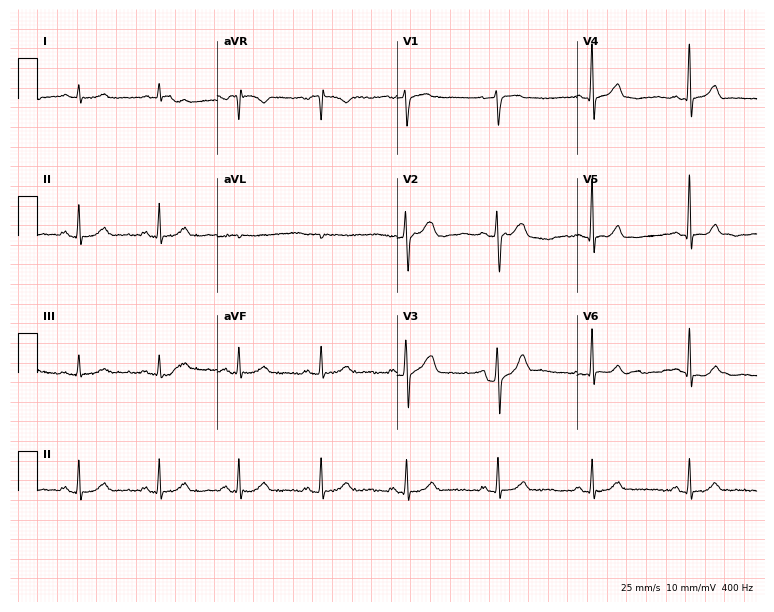
Electrocardiogram (7.3-second recording at 400 Hz), a 59-year-old male. Of the six screened findings (first-degree AV block, right bundle branch block (RBBB), left bundle branch block (LBBB), sinus bradycardia, atrial fibrillation (AF), sinus tachycardia), none is recorded.